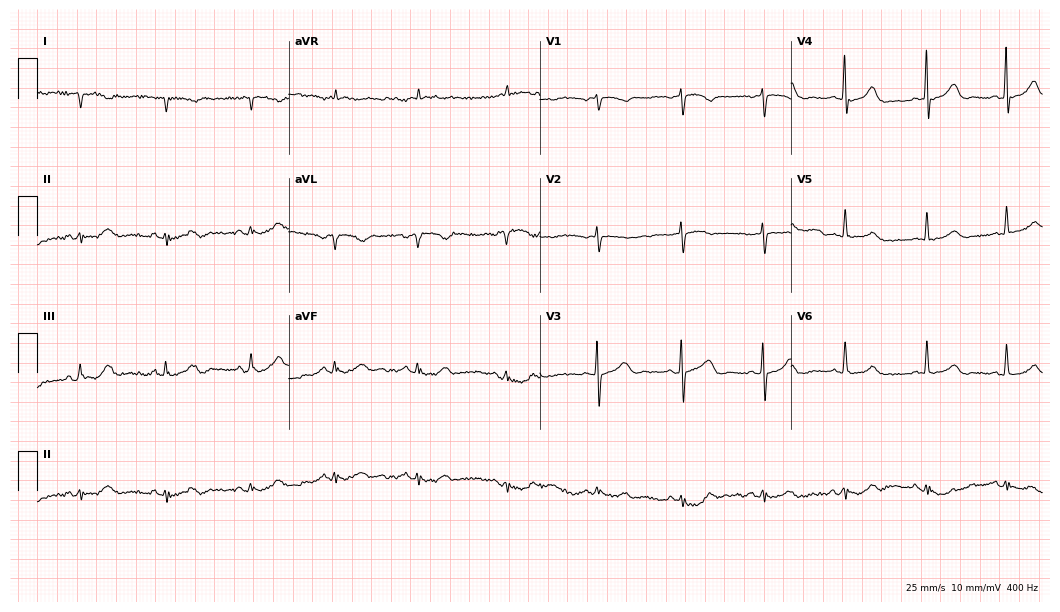
Electrocardiogram (10.2-second recording at 400 Hz), a female, 82 years old. Of the six screened findings (first-degree AV block, right bundle branch block, left bundle branch block, sinus bradycardia, atrial fibrillation, sinus tachycardia), none is recorded. Findings outside these six are not listed.